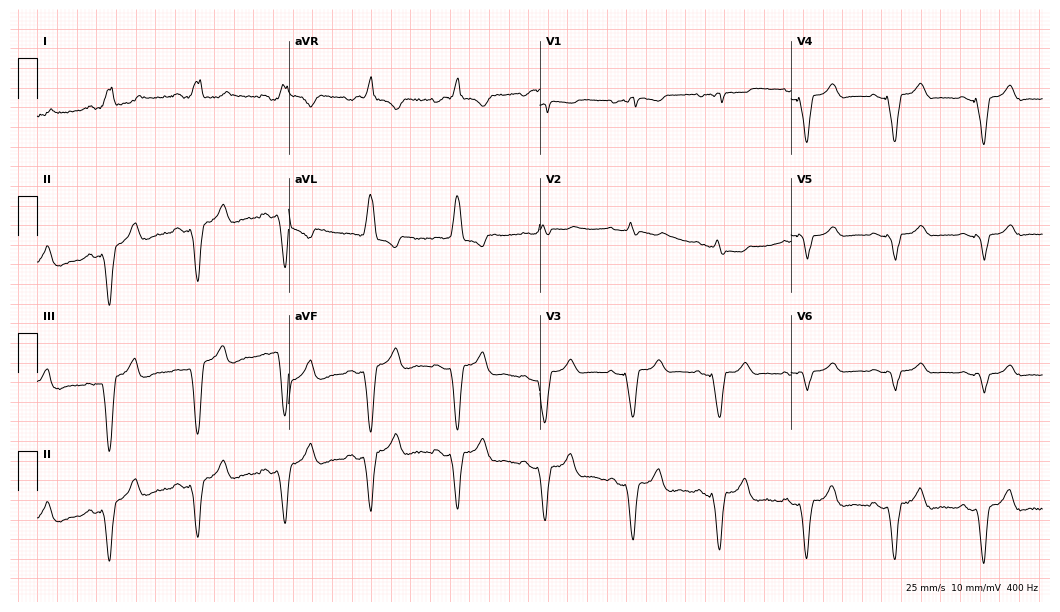
Standard 12-lead ECG recorded from a 42-year-old female (10.2-second recording at 400 Hz). None of these six findings is recorded: first-degree AV block, right bundle branch block (RBBB), left bundle branch block (LBBB), sinus bradycardia, atrial fibrillation (AF), sinus tachycardia.